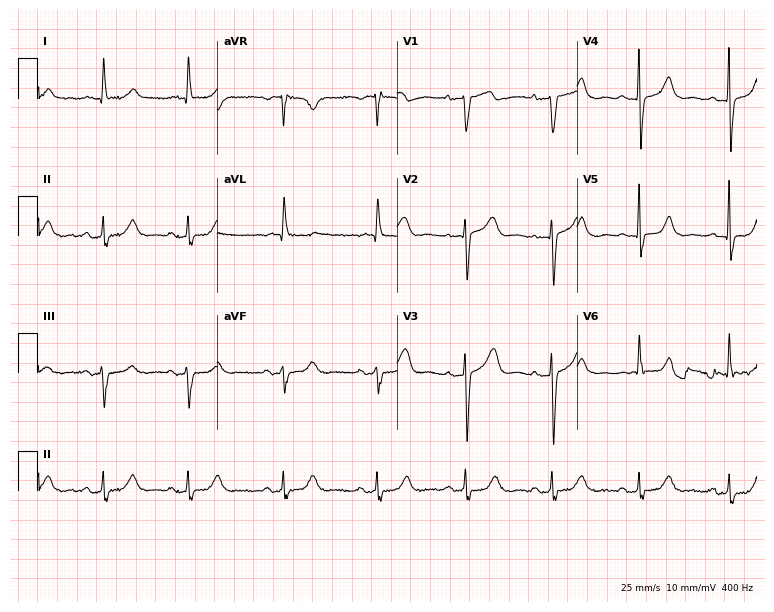
Standard 12-lead ECG recorded from a female patient, 68 years old. Read as a normal ECG.